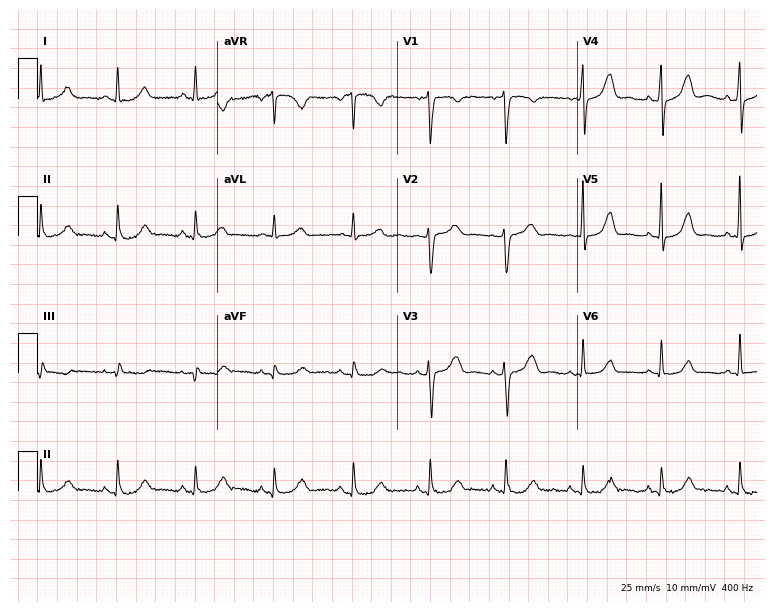
Resting 12-lead electrocardiogram (7.3-second recording at 400 Hz). Patient: a female, 39 years old. Read as a normal ECG.